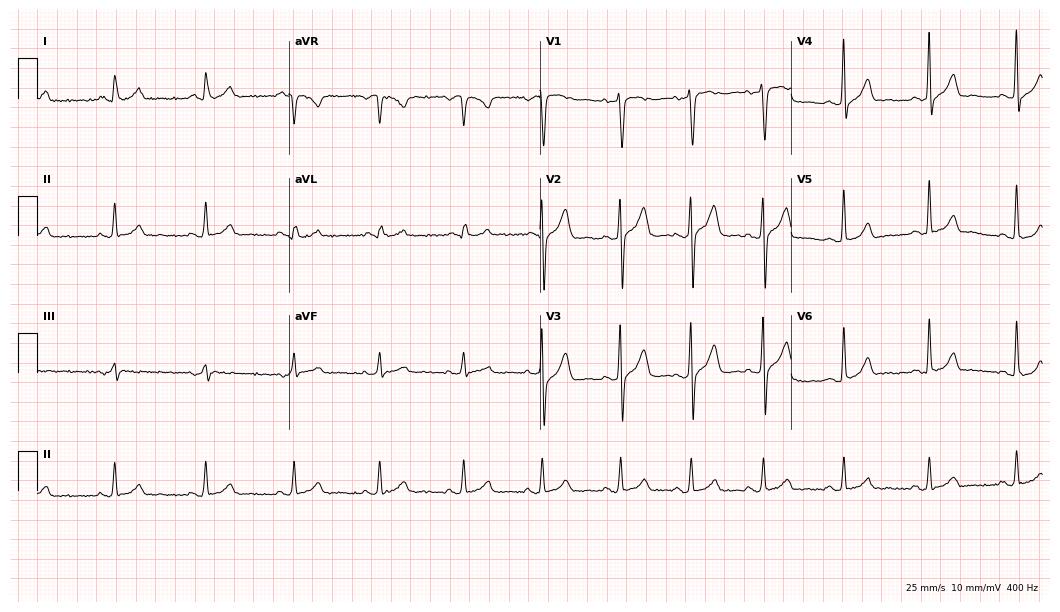
12-lead ECG from a 40-year-old male patient. No first-degree AV block, right bundle branch block (RBBB), left bundle branch block (LBBB), sinus bradycardia, atrial fibrillation (AF) or sinus tachycardia recorded for this tracing. Only these six findings were labelled.